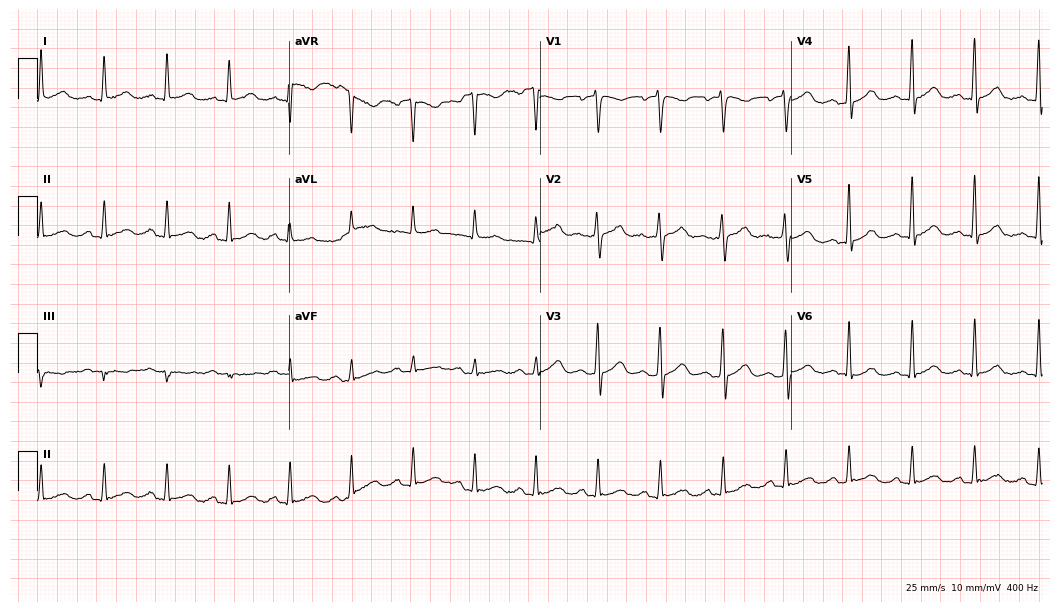
Standard 12-lead ECG recorded from a female, 39 years old (10.2-second recording at 400 Hz). None of these six findings is recorded: first-degree AV block, right bundle branch block, left bundle branch block, sinus bradycardia, atrial fibrillation, sinus tachycardia.